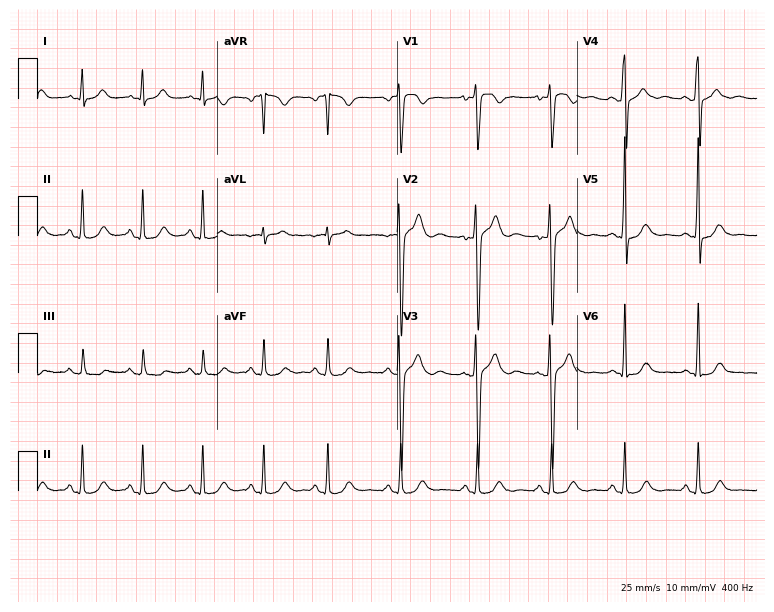
12-lead ECG from a male patient, 18 years old. No first-degree AV block, right bundle branch block, left bundle branch block, sinus bradycardia, atrial fibrillation or sinus tachycardia recorded for this tracing. Findings outside these six are not listed.